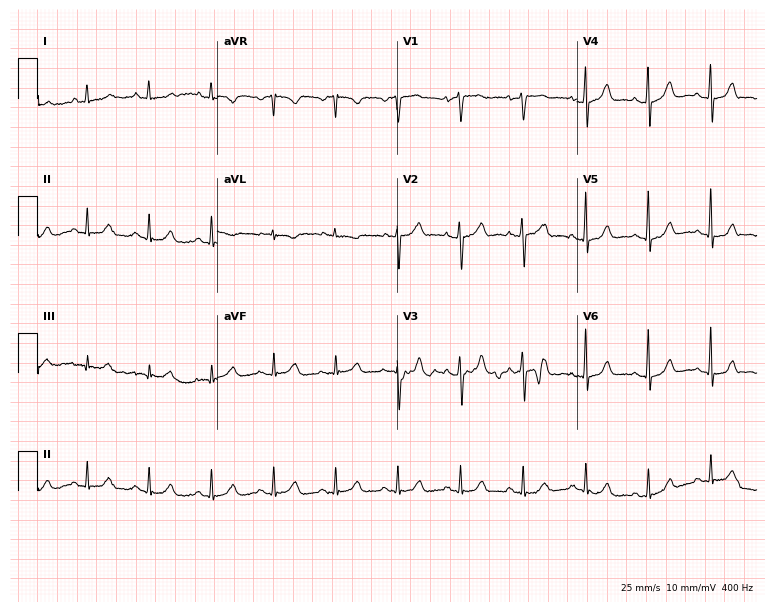
Standard 12-lead ECG recorded from a female, 46 years old (7.3-second recording at 400 Hz). None of these six findings is recorded: first-degree AV block, right bundle branch block, left bundle branch block, sinus bradycardia, atrial fibrillation, sinus tachycardia. Other findings, if any, are not listed.